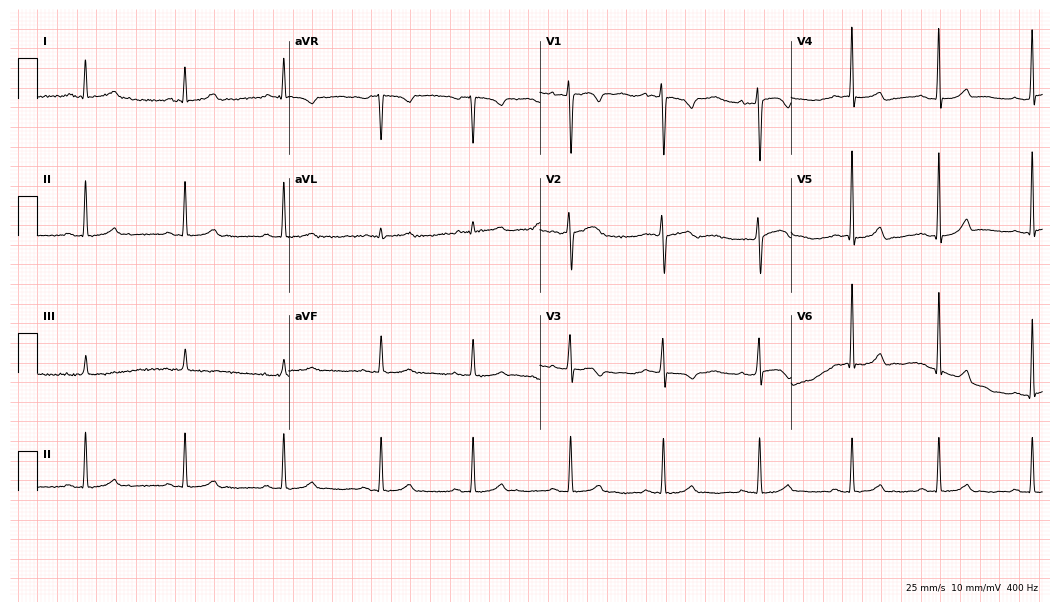
Standard 12-lead ECG recorded from a female patient, 42 years old. Read as a normal ECG.